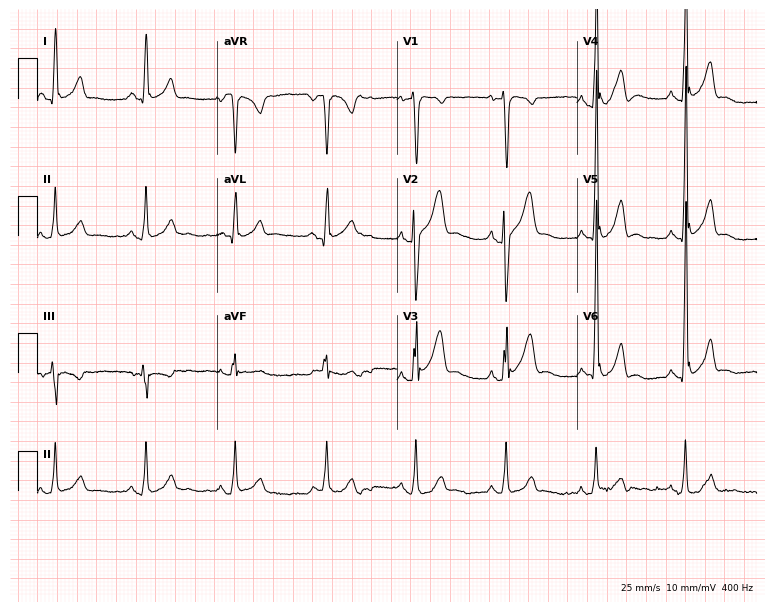
12-lead ECG from a male, 33 years old. Recorded interpretation: within normal limits.